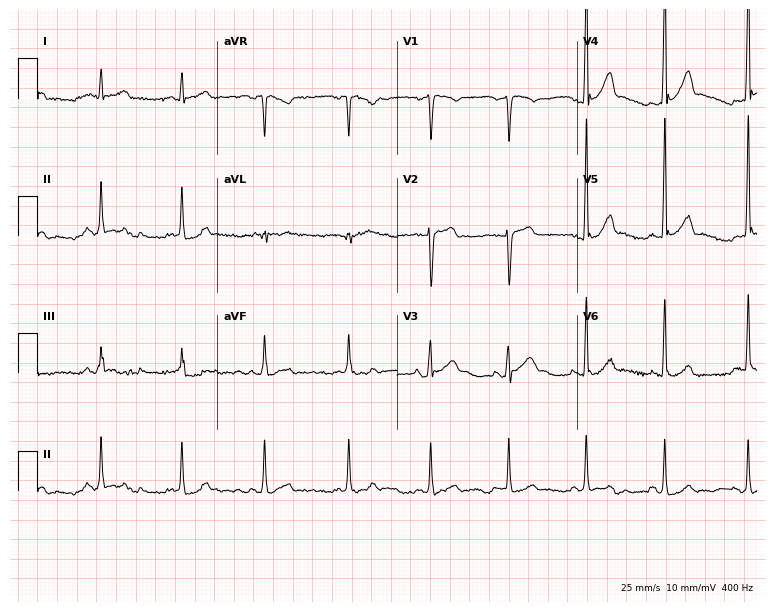
12-lead ECG from a male patient, 21 years old (7.3-second recording at 400 Hz). Recorded interpretation: within normal limits.